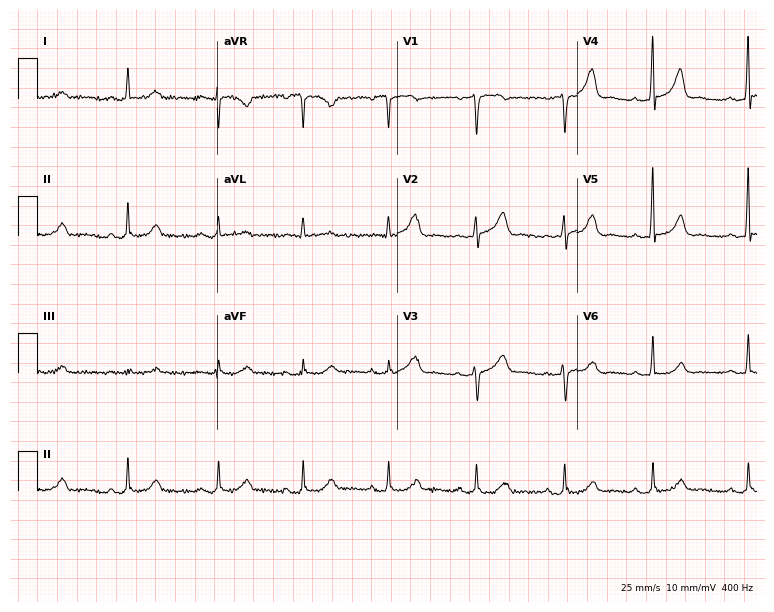
Standard 12-lead ECG recorded from a woman, 52 years old (7.3-second recording at 400 Hz). Read as a normal ECG.